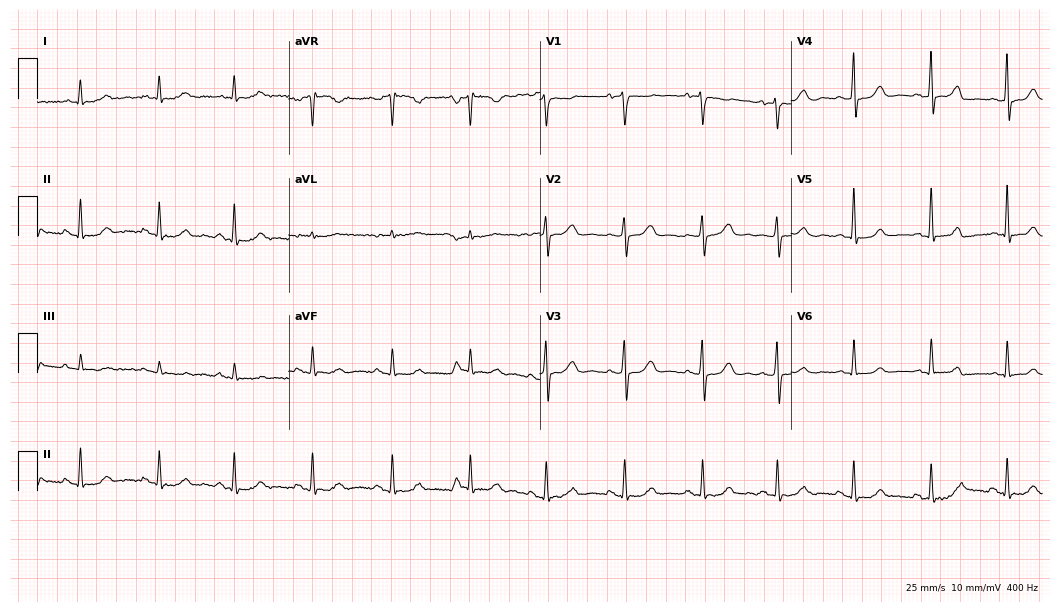
12-lead ECG from a 60-year-old female patient. Recorded interpretation: within normal limits.